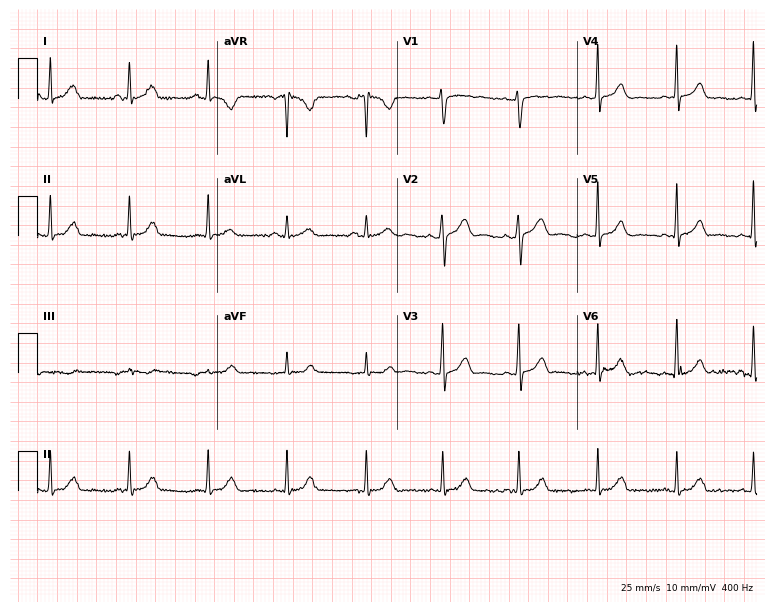
Standard 12-lead ECG recorded from a 44-year-old woman (7.3-second recording at 400 Hz). Read as a normal ECG.